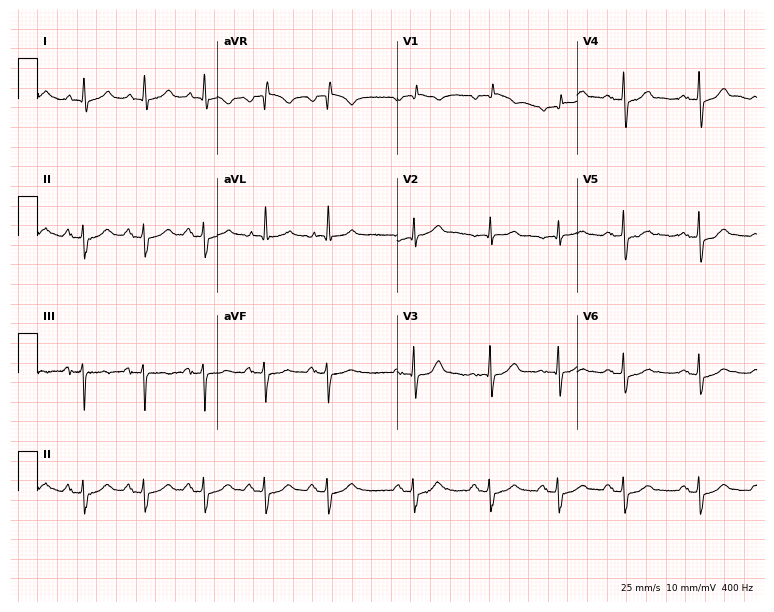
12-lead ECG from a male patient, 74 years old. Screened for six findings — first-degree AV block, right bundle branch block, left bundle branch block, sinus bradycardia, atrial fibrillation, sinus tachycardia — none is recorded. Findings outside these six are not listed.